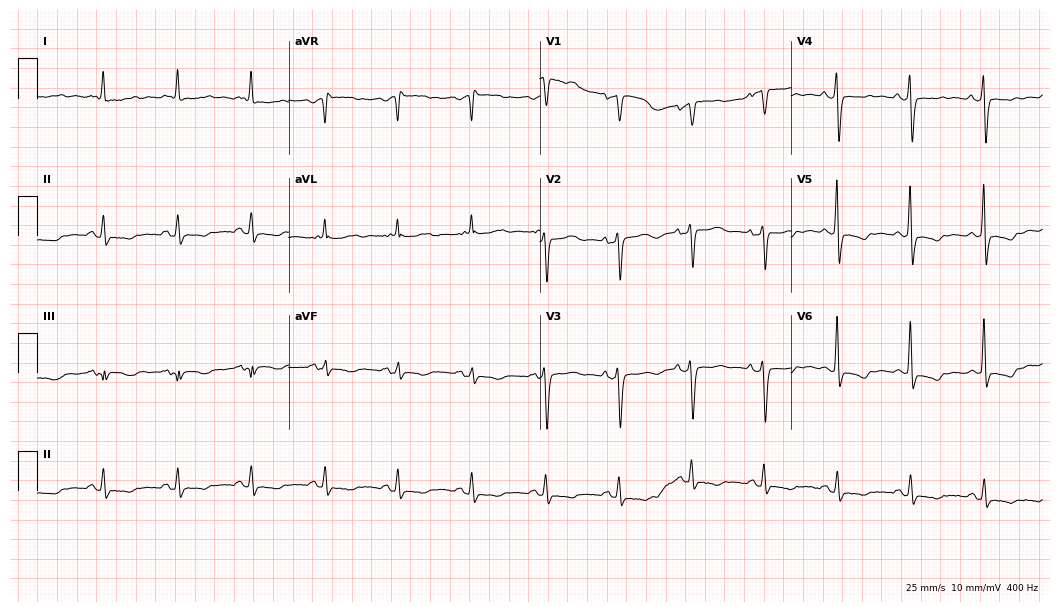
Electrocardiogram, an 83-year-old male patient. Of the six screened findings (first-degree AV block, right bundle branch block (RBBB), left bundle branch block (LBBB), sinus bradycardia, atrial fibrillation (AF), sinus tachycardia), none is recorded. Other findings, if any, are not listed.